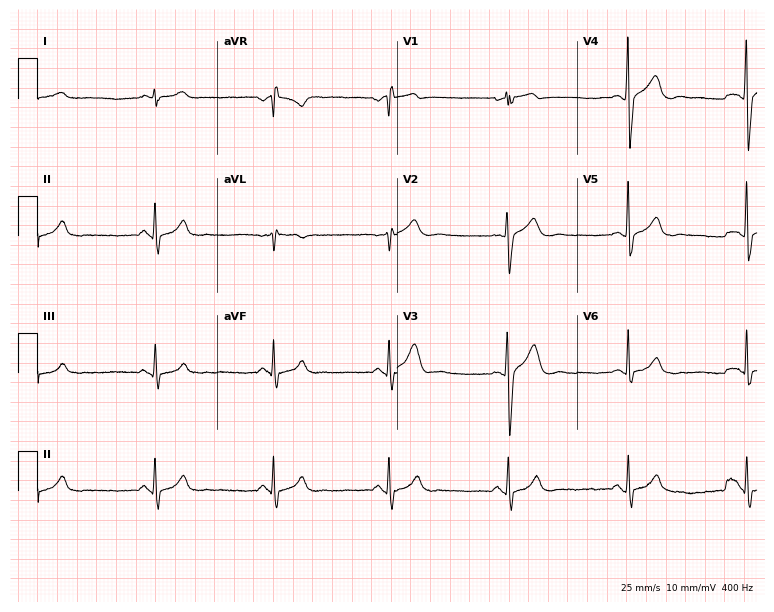
12-lead ECG from a male patient, 56 years old. Screened for six findings — first-degree AV block, right bundle branch block, left bundle branch block, sinus bradycardia, atrial fibrillation, sinus tachycardia — none is recorded.